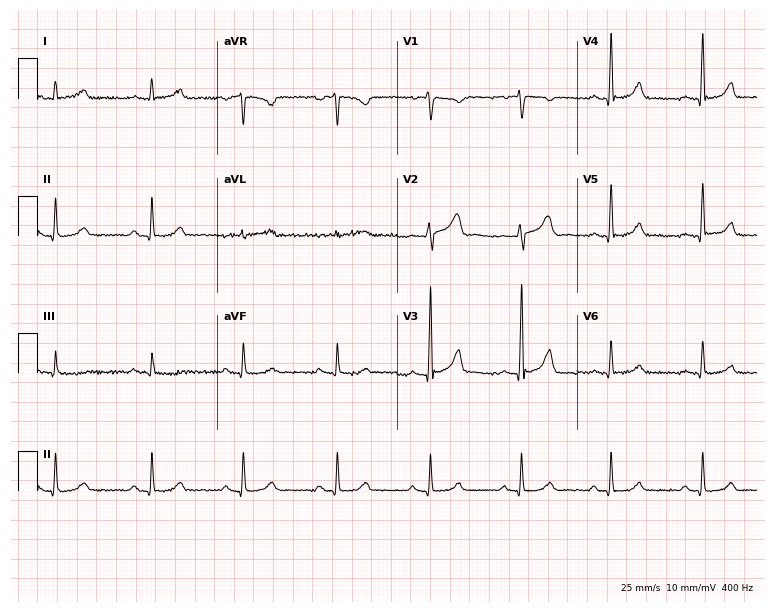
12-lead ECG from a 39-year-old male (7.3-second recording at 400 Hz). Recorded interpretation: within normal limits.